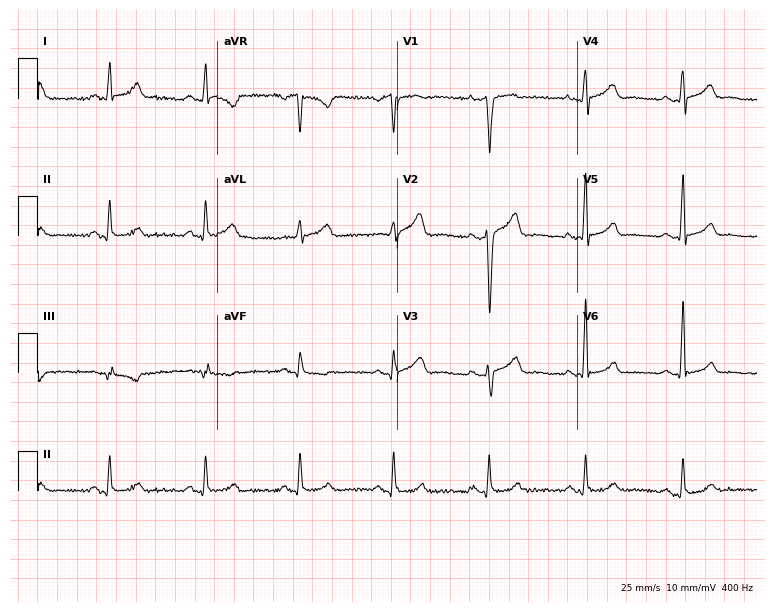
Standard 12-lead ECG recorded from a male, 49 years old. Read as a normal ECG.